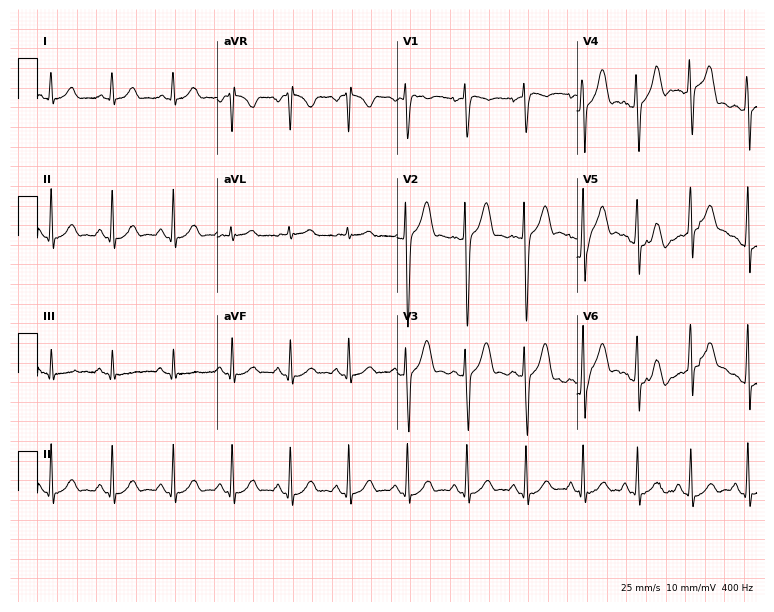
Standard 12-lead ECG recorded from a male patient, 25 years old. The tracing shows sinus tachycardia (a sinus rate of 100 beats per minute or more).